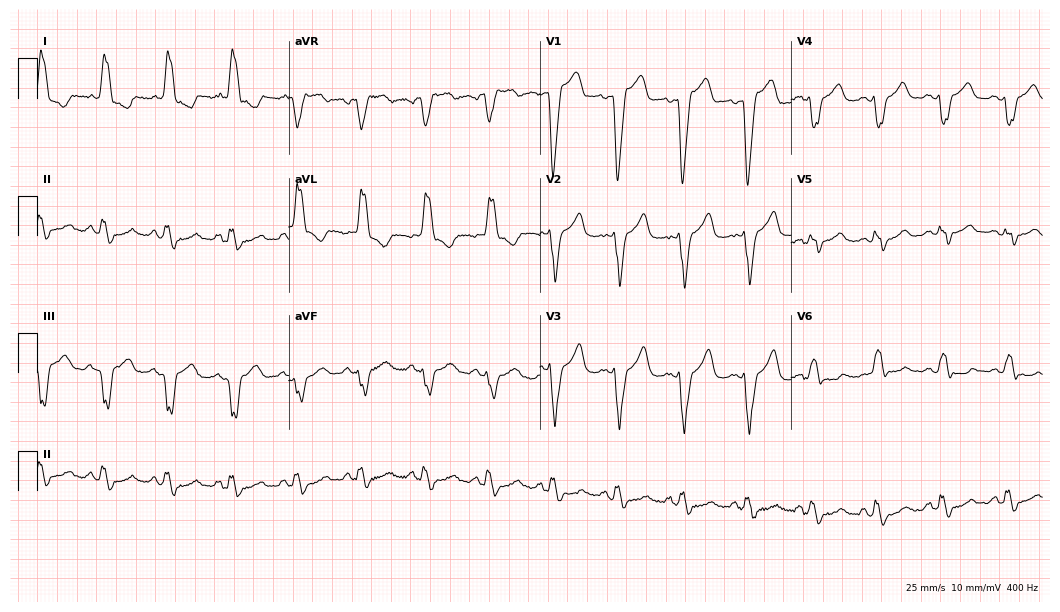
Standard 12-lead ECG recorded from a female patient, 78 years old. The tracing shows left bundle branch block.